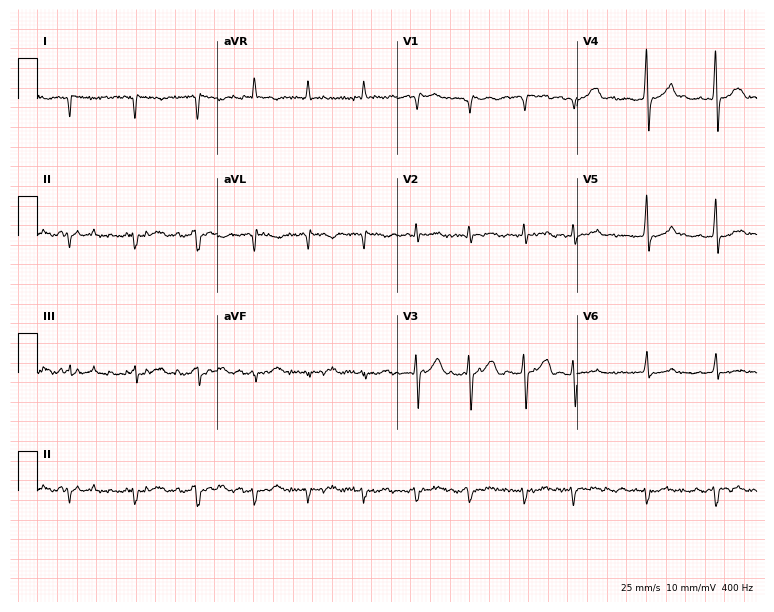
Standard 12-lead ECG recorded from a man, 86 years old. The tracing shows atrial fibrillation (AF).